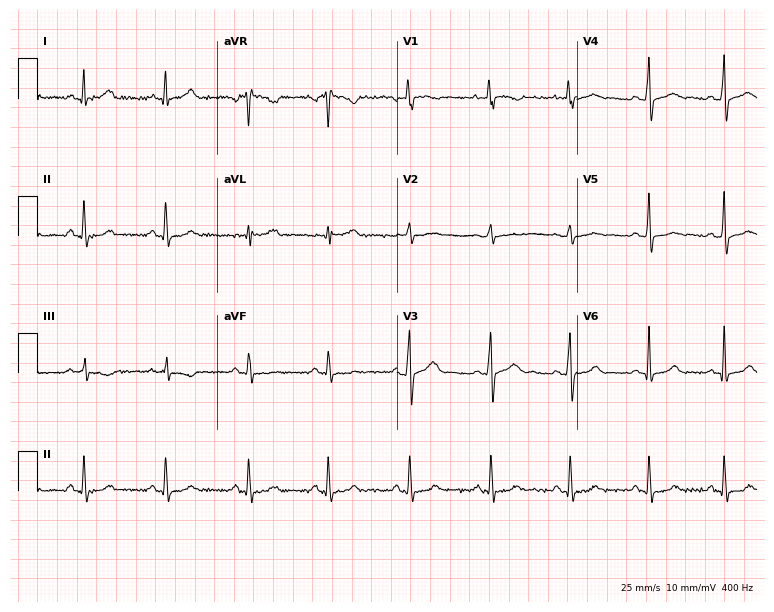
ECG — a female patient, 29 years old. Labelled as a normal ECG.